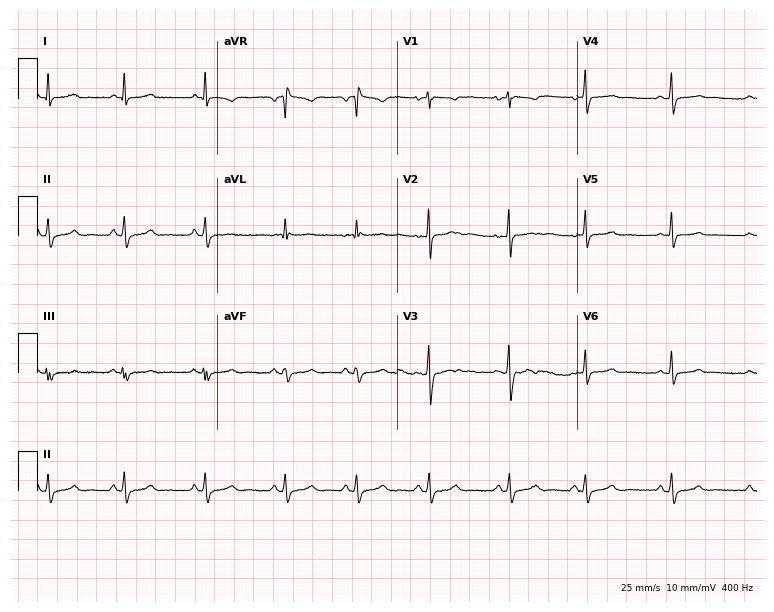
Resting 12-lead electrocardiogram. Patient: a female, 36 years old. None of these six findings is recorded: first-degree AV block, right bundle branch block, left bundle branch block, sinus bradycardia, atrial fibrillation, sinus tachycardia. Other findings, if any, are not listed.